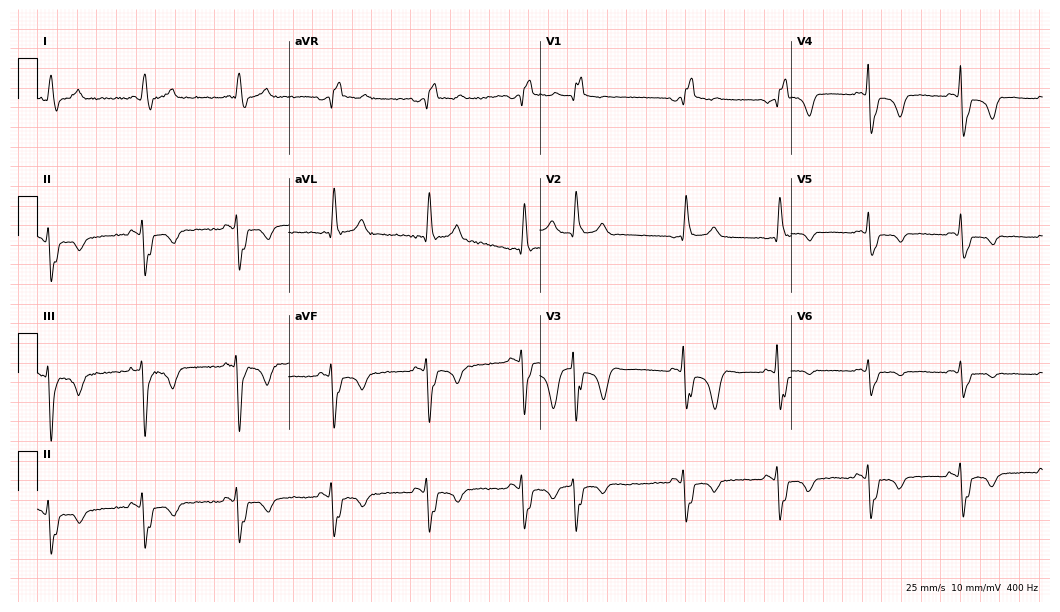
Standard 12-lead ECG recorded from a 67-year-old woman. The tracing shows right bundle branch block.